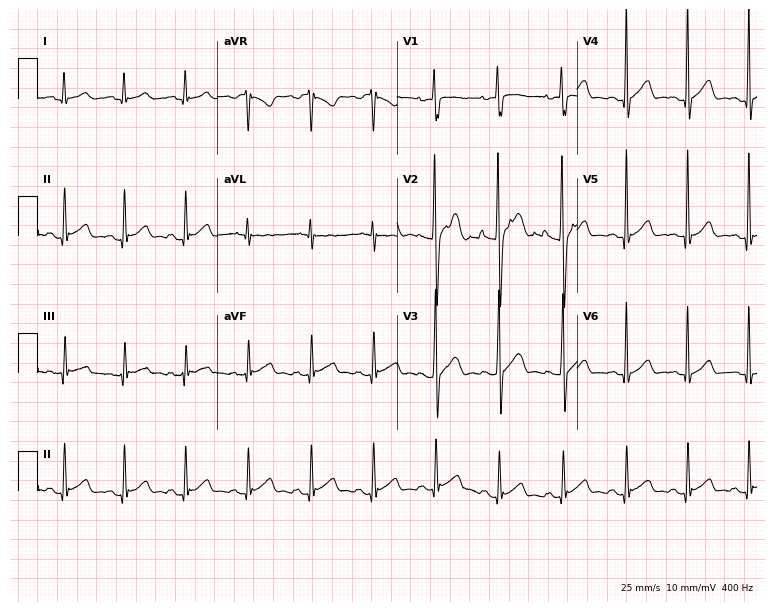
Electrocardiogram (7.3-second recording at 400 Hz), a male patient, 19 years old. Of the six screened findings (first-degree AV block, right bundle branch block, left bundle branch block, sinus bradycardia, atrial fibrillation, sinus tachycardia), none is recorded.